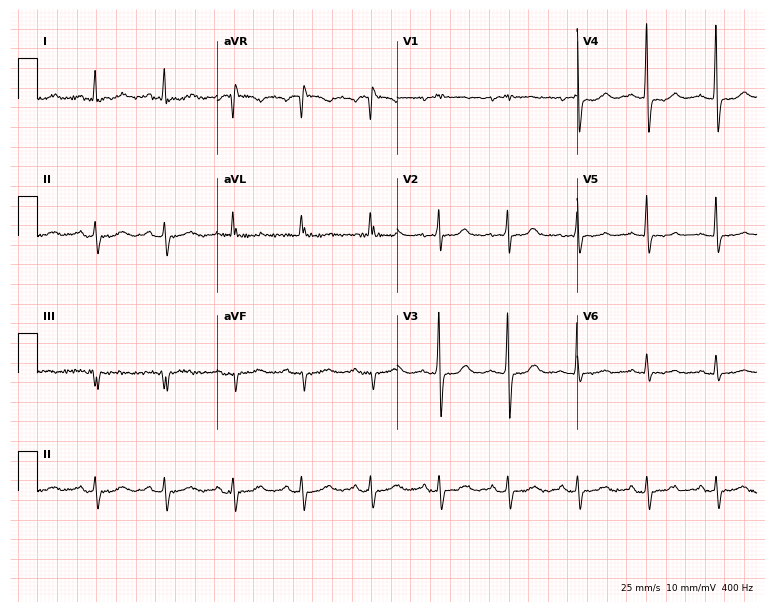
ECG (7.3-second recording at 400 Hz) — a 77-year-old female. Screened for six findings — first-degree AV block, right bundle branch block (RBBB), left bundle branch block (LBBB), sinus bradycardia, atrial fibrillation (AF), sinus tachycardia — none is recorded.